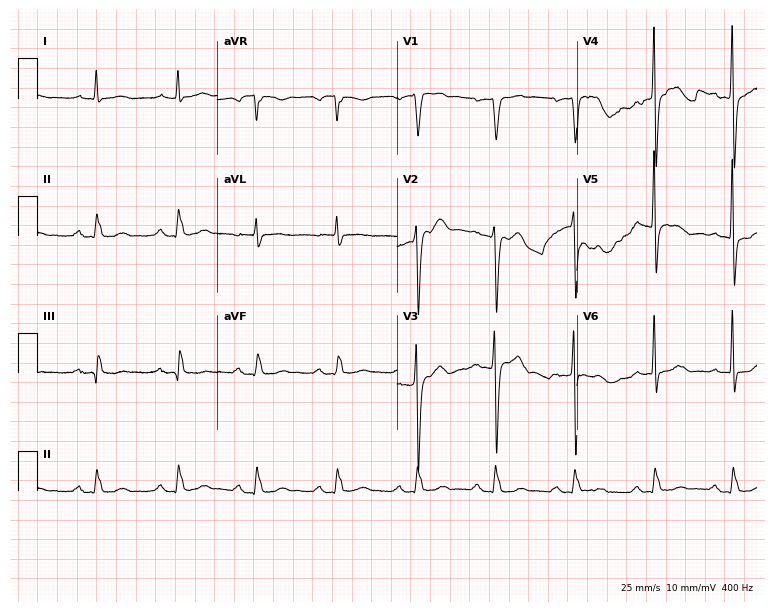
12-lead ECG from a 62-year-old male. Recorded interpretation: within normal limits.